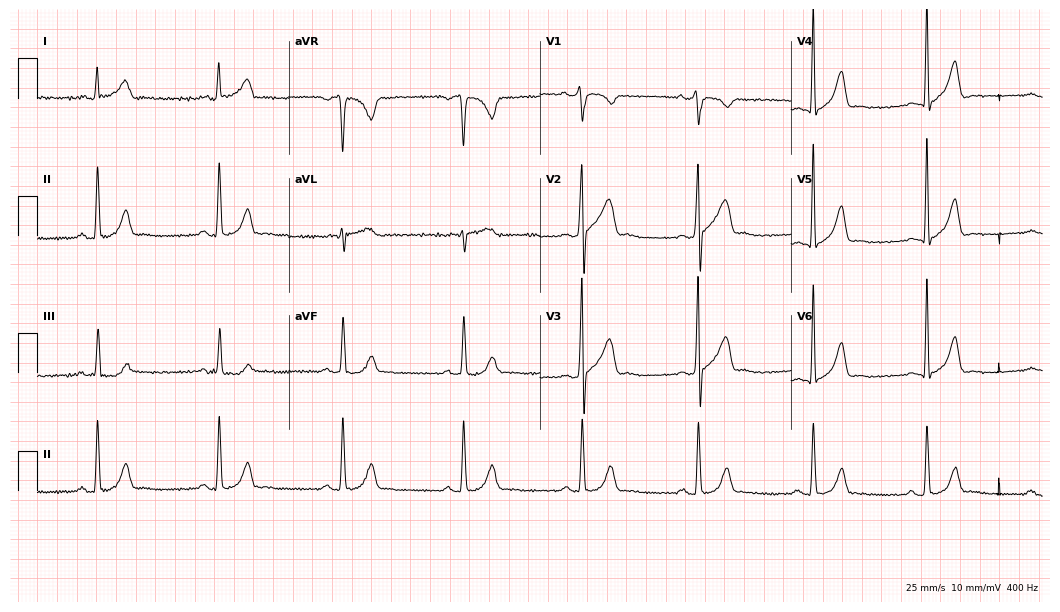
12-lead ECG from a 38-year-old male. Findings include sinus bradycardia (a sinus rate of 50 beats per minute or less).